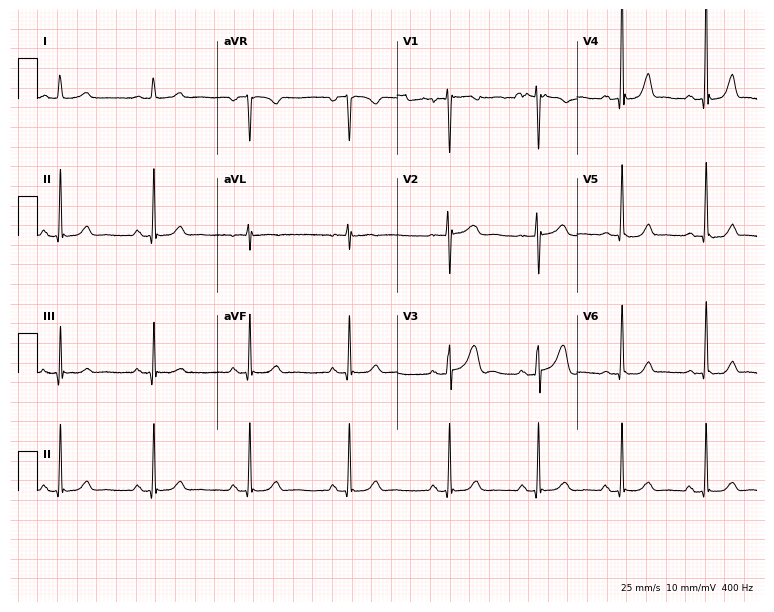
Standard 12-lead ECG recorded from a 21-year-old female patient. None of these six findings is recorded: first-degree AV block, right bundle branch block (RBBB), left bundle branch block (LBBB), sinus bradycardia, atrial fibrillation (AF), sinus tachycardia.